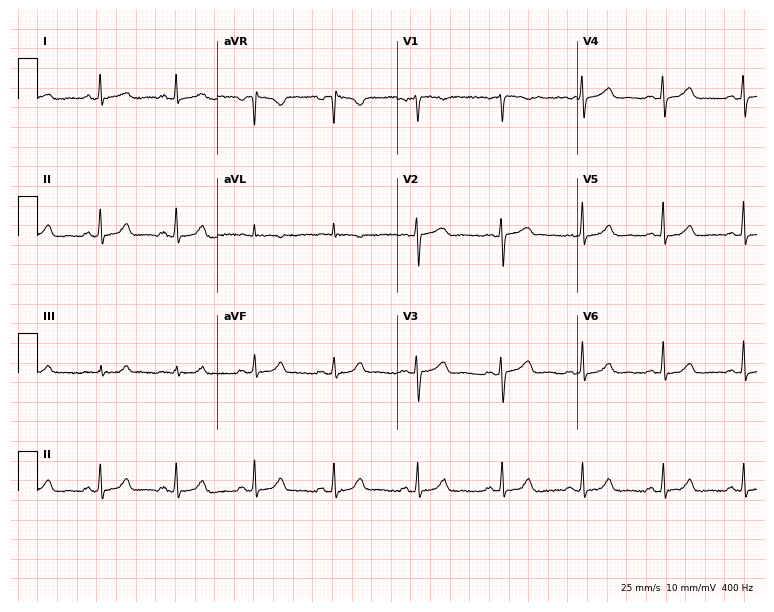
Standard 12-lead ECG recorded from a 46-year-old woman. None of these six findings is recorded: first-degree AV block, right bundle branch block, left bundle branch block, sinus bradycardia, atrial fibrillation, sinus tachycardia.